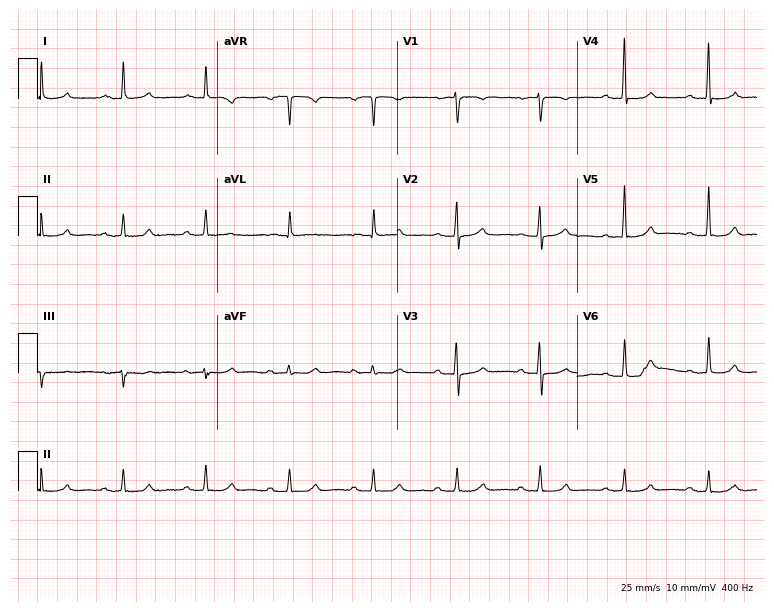
Electrocardiogram, a woman, 72 years old. Of the six screened findings (first-degree AV block, right bundle branch block, left bundle branch block, sinus bradycardia, atrial fibrillation, sinus tachycardia), none is recorded. Findings outside these six are not listed.